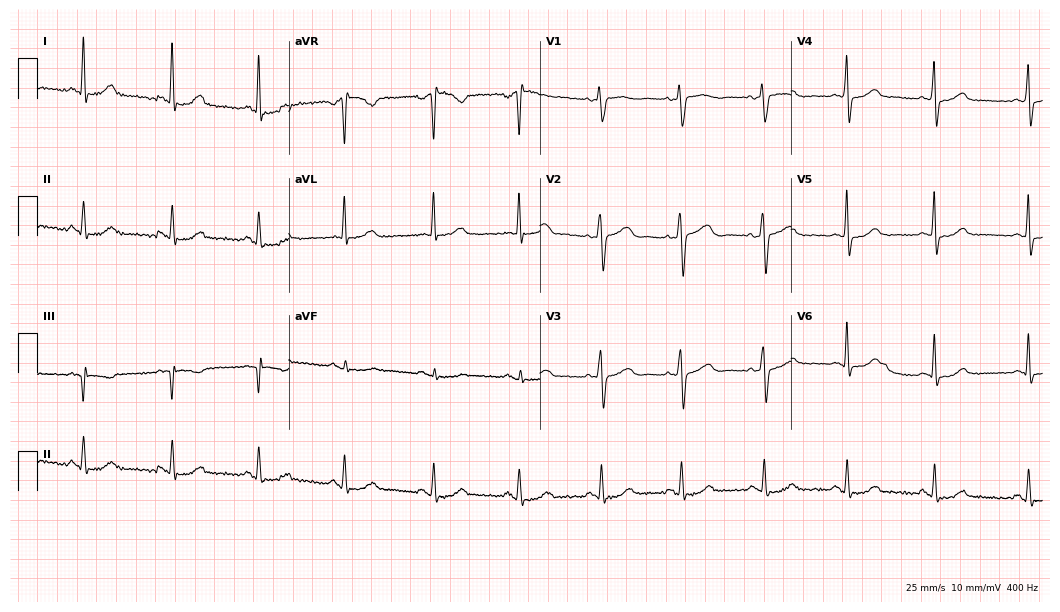
Electrocardiogram (10.2-second recording at 400 Hz), a 54-year-old woman. Overall reading on record: normal ECG.